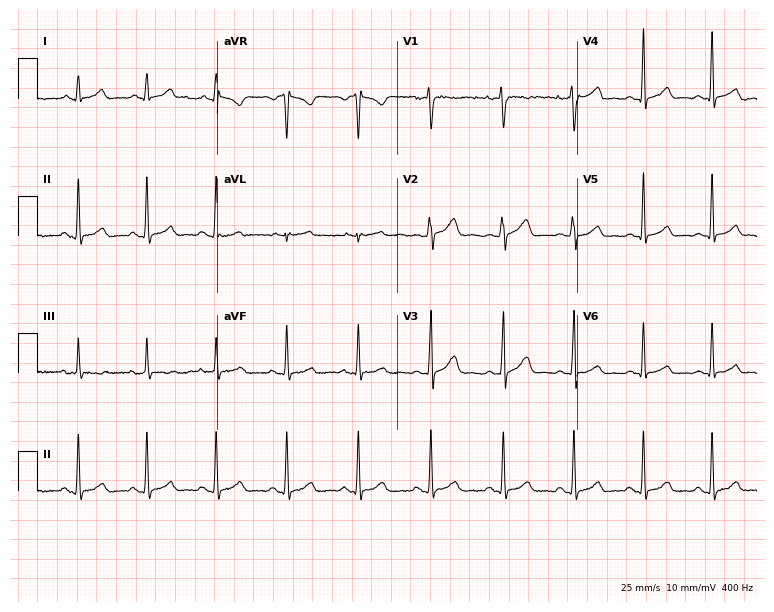
Electrocardiogram, a female patient, 25 years old. Overall reading on record: normal ECG.